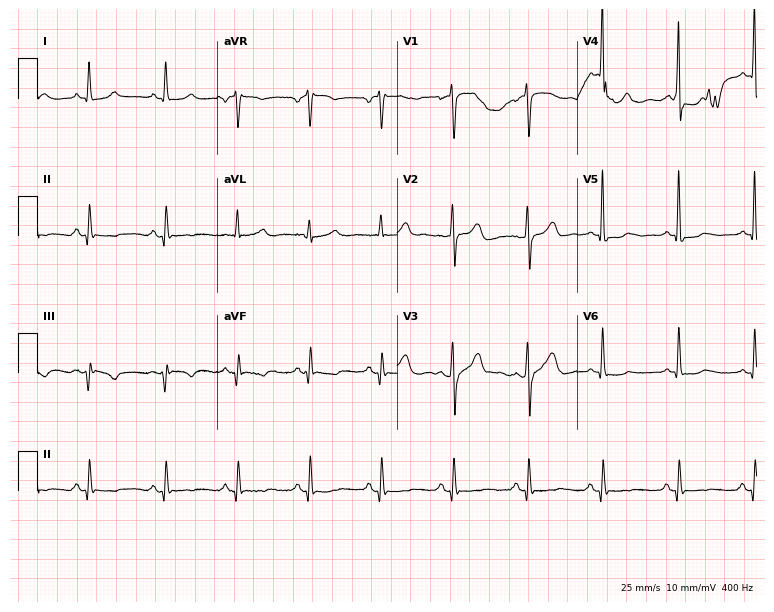
Standard 12-lead ECG recorded from a 68-year-old man. Read as a normal ECG.